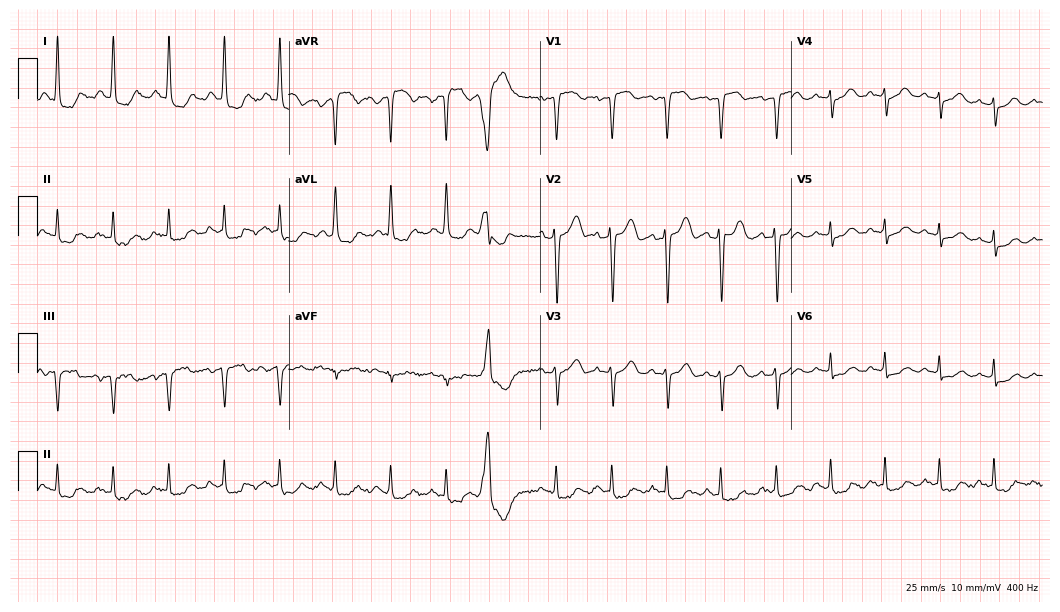
Resting 12-lead electrocardiogram. Patient: a female, 75 years old. The tracing shows sinus tachycardia (a sinus rate of 100 beats per minute or more).